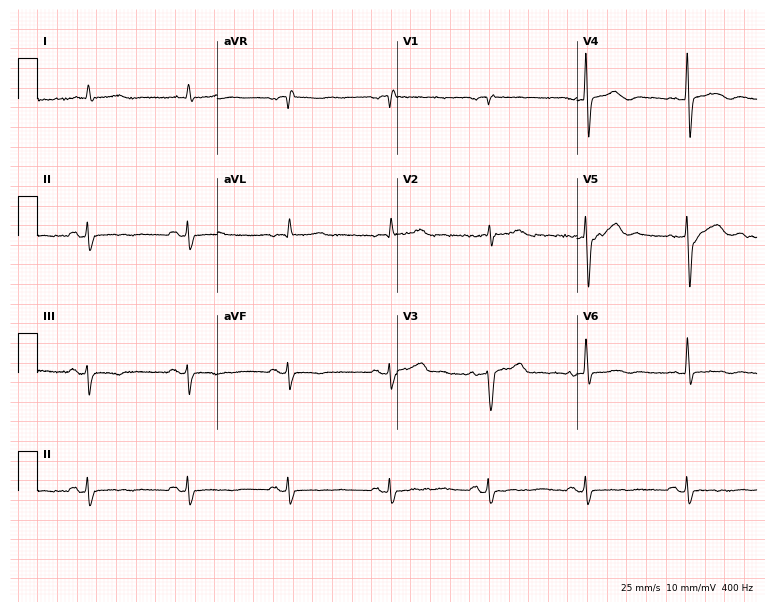
12-lead ECG from a male patient, 73 years old (7.3-second recording at 400 Hz). No first-degree AV block, right bundle branch block, left bundle branch block, sinus bradycardia, atrial fibrillation or sinus tachycardia recorded for this tracing.